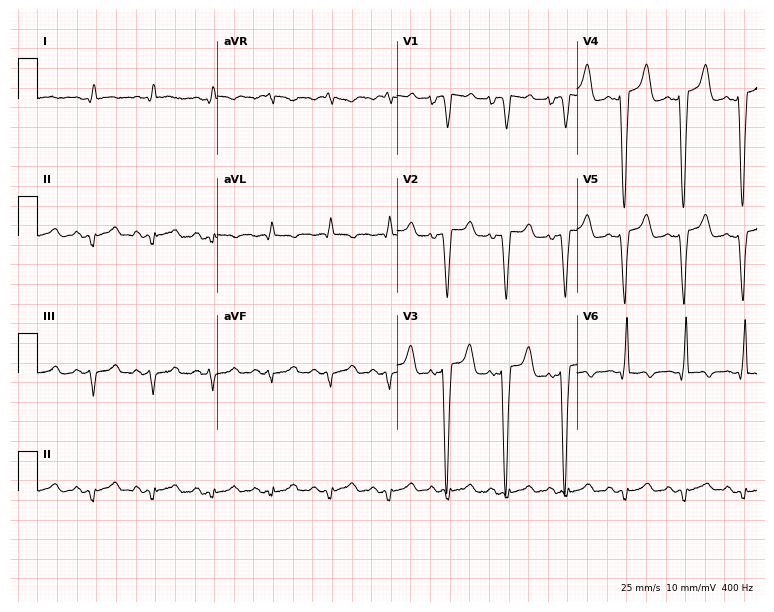
12-lead ECG from a 74-year-old woman. Screened for six findings — first-degree AV block, right bundle branch block, left bundle branch block, sinus bradycardia, atrial fibrillation, sinus tachycardia — none is recorded.